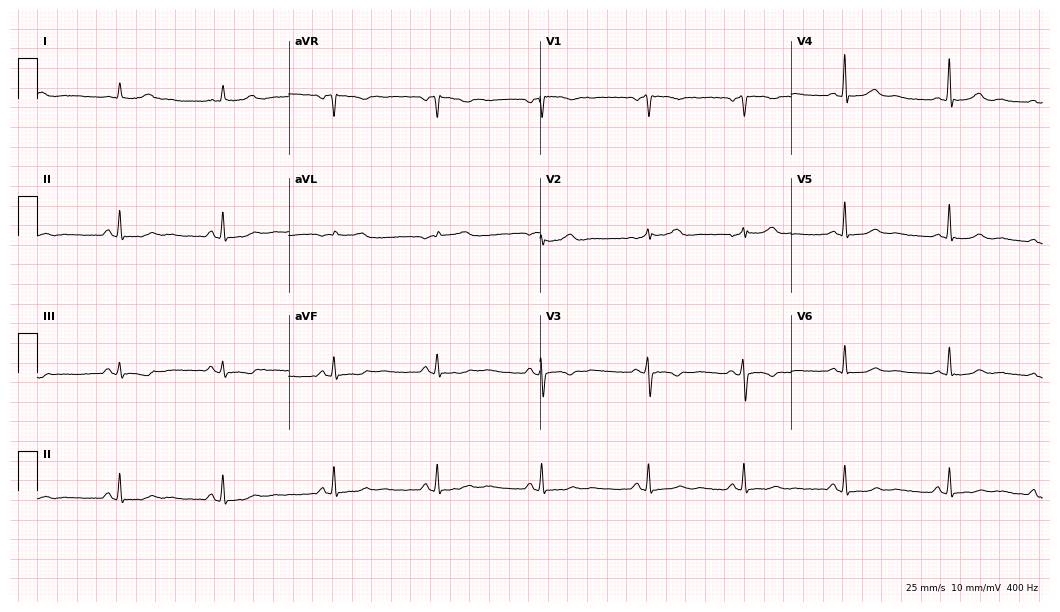
12-lead ECG from a 49-year-old female patient (10.2-second recording at 400 Hz). No first-degree AV block, right bundle branch block, left bundle branch block, sinus bradycardia, atrial fibrillation or sinus tachycardia recorded for this tracing. Other findings, if any, are not listed.